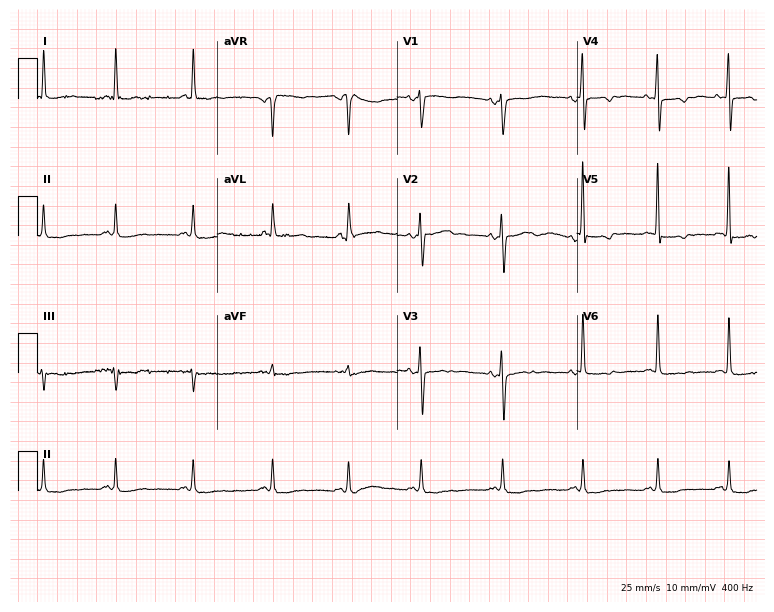
Standard 12-lead ECG recorded from a 76-year-old female patient (7.3-second recording at 400 Hz). None of these six findings is recorded: first-degree AV block, right bundle branch block, left bundle branch block, sinus bradycardia, atrial fibrillation, sinus tachycardia. Other findings, if any, are not listed.